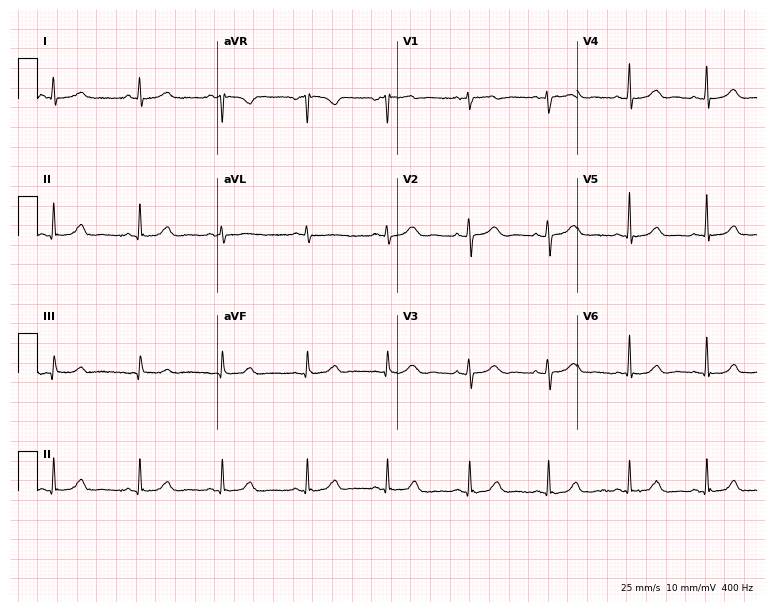
Electrocardiogram, a female patient, 44 years old. Of the six screened findings (first-degree AV block, right bundle branch block, left bundle branch block, sinus bradycardia, atrial fibrillation, sinus tachycardia), none is recorded.